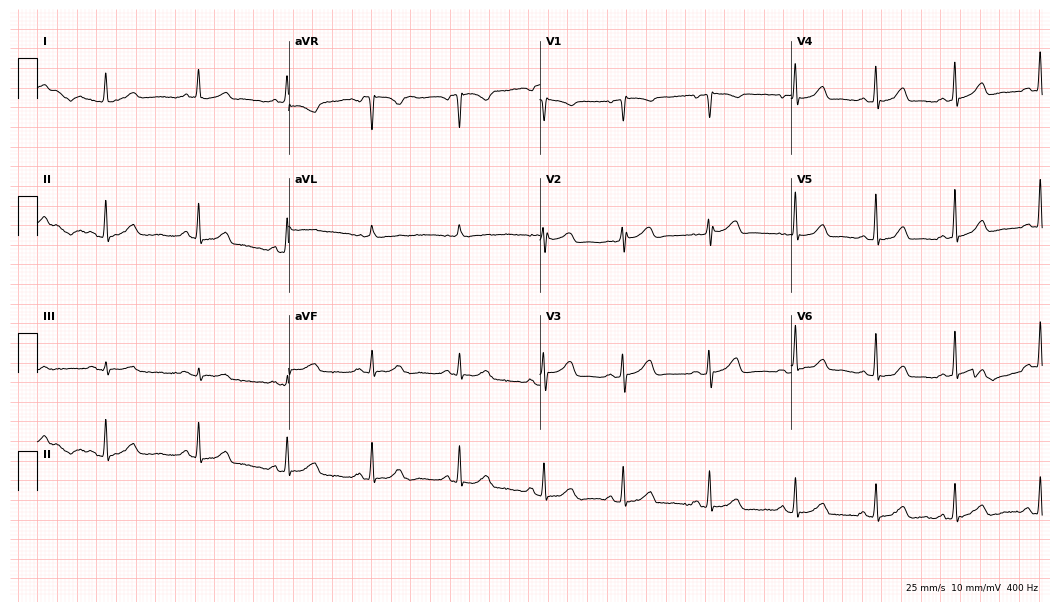
12-lead ECG from a 77-year-old female. Labelled as a normal ECG.